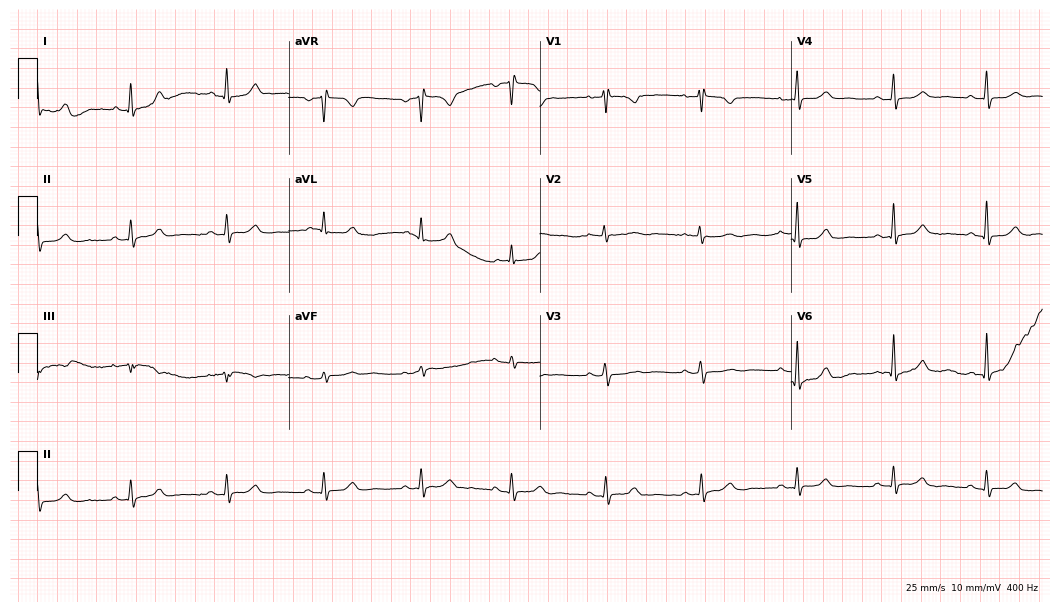
Resting 12-lead electrocardiogram. Patient: a 52-year-old male. Read as a normal ECG.